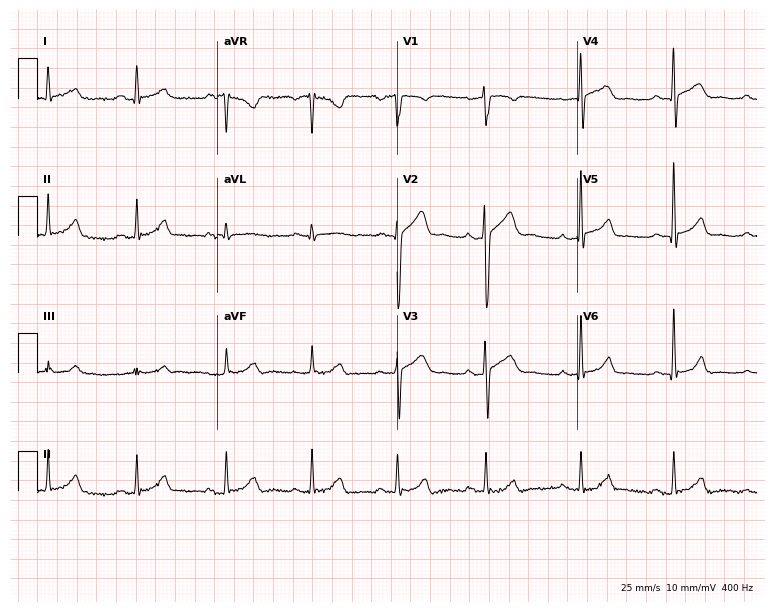
12-lead ECG (7.3-second recording at 400 Hz) from a man, 36 years old. Labelled as a normal ECG.